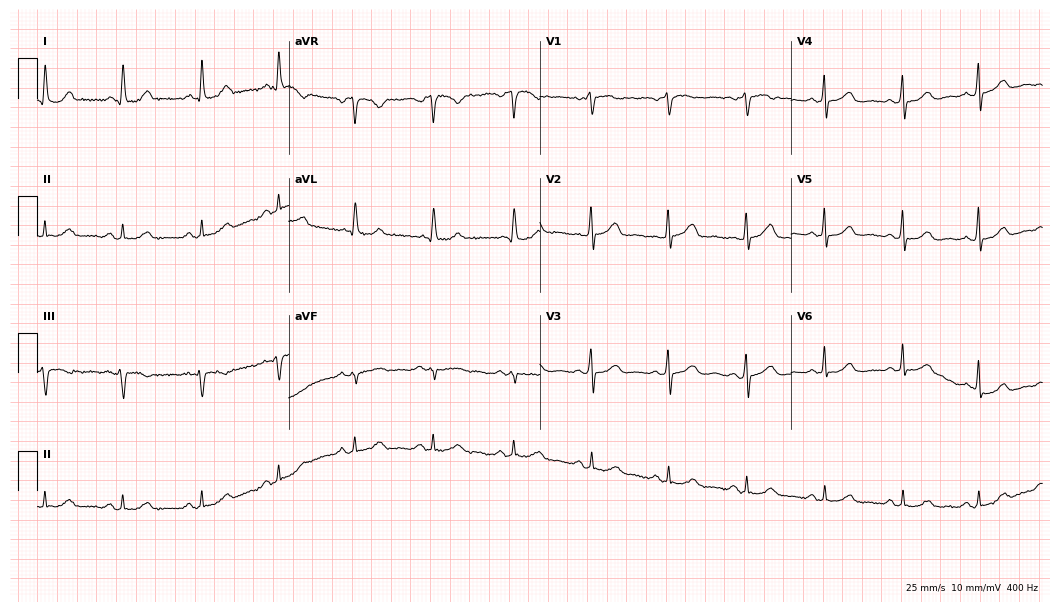
Resting 12-lead electrocardiogram (10.2-second recording at 400 Hz). Patient: a woman, 68 years old. Read as a normal ECG.